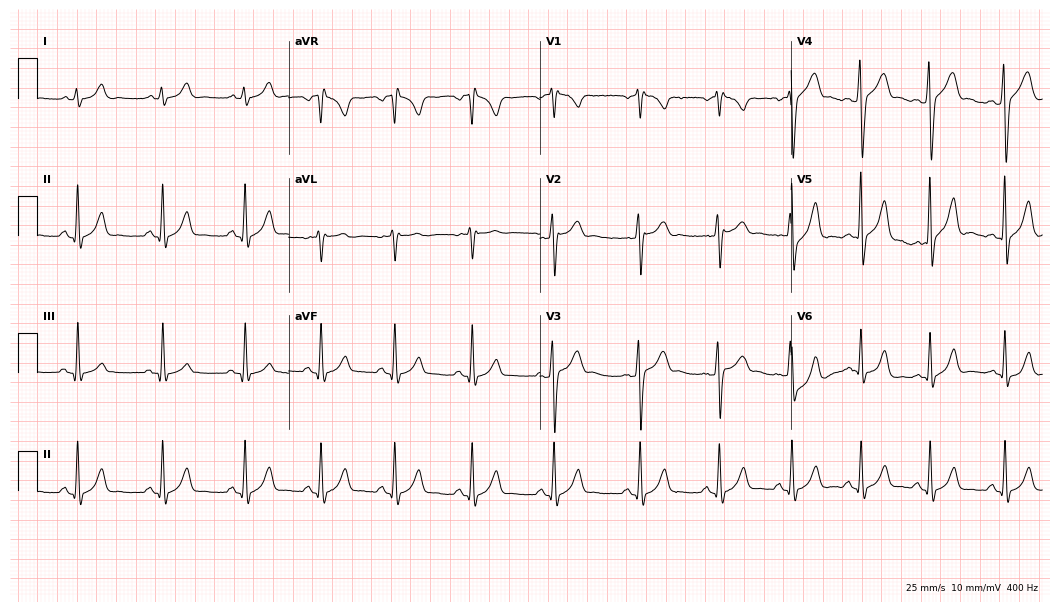
12-lead ECG from a 22-year-old man (10.2-second recording at 400 Hz). Recorded interpretation: within normal limits.